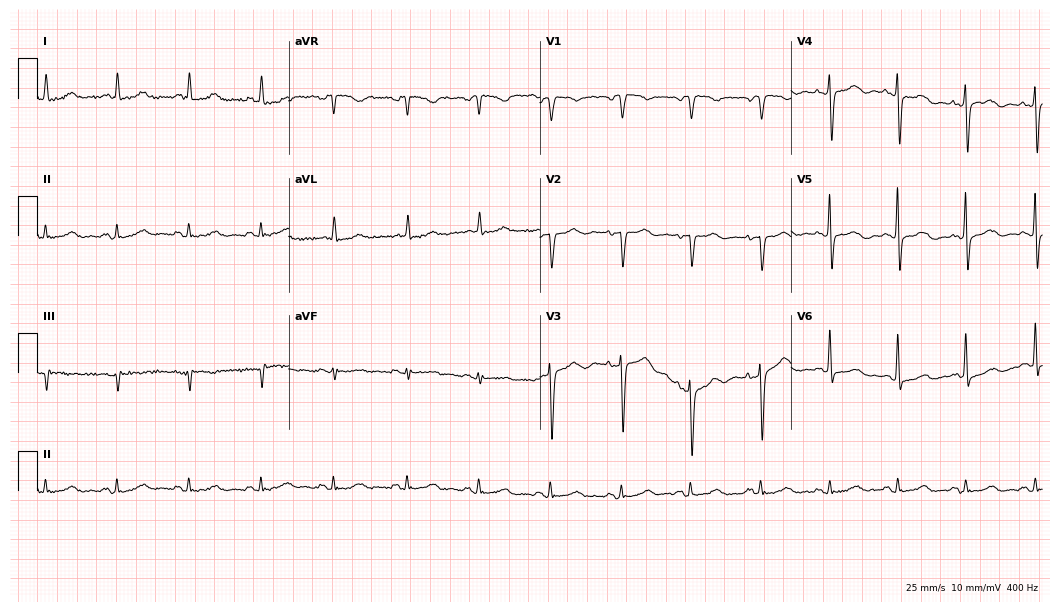
ECG (10.2-second recording at 400 Hz) — a female patient, 74 years old. Screened for six findings — first-degree AV block, right bundle branch block (RBBB), left bundle branch block (LBBB), sinus bradycardia, atrial fibrillation (AF), sinus tachycardia — none is recorded. Only these six findings were labelled.